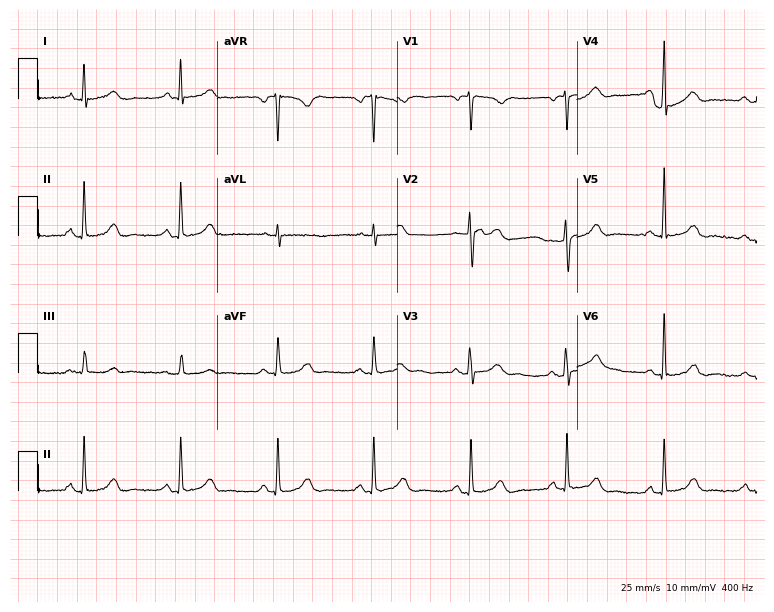
Resting 12-lead electrocardiogram. Patient: a female, 57 years old. Read as a normal ECG.